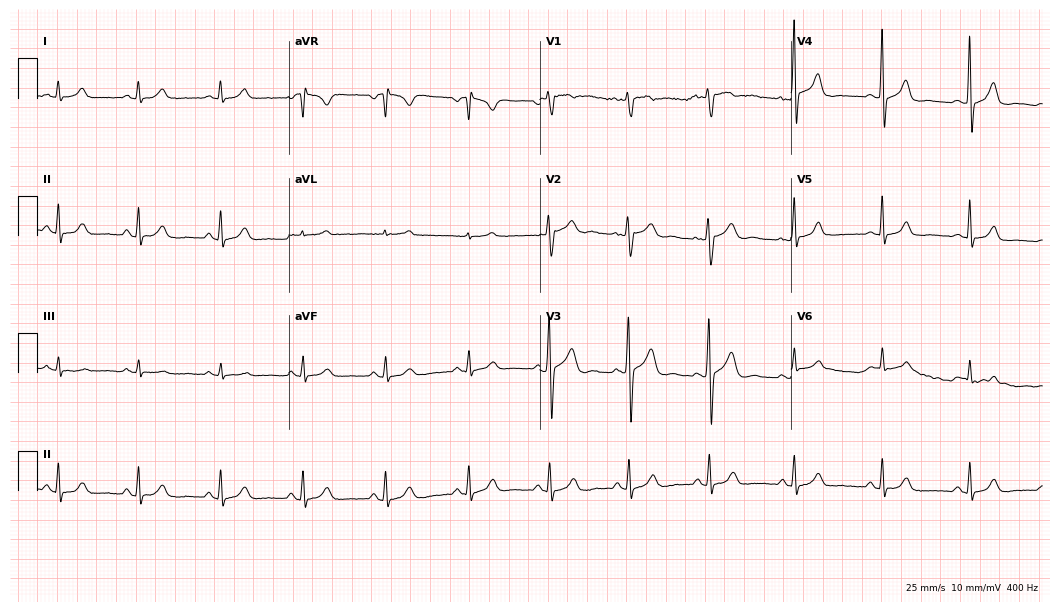
12-lead ECG from a 35-year-old male patient. Labelled as a normal ECG.